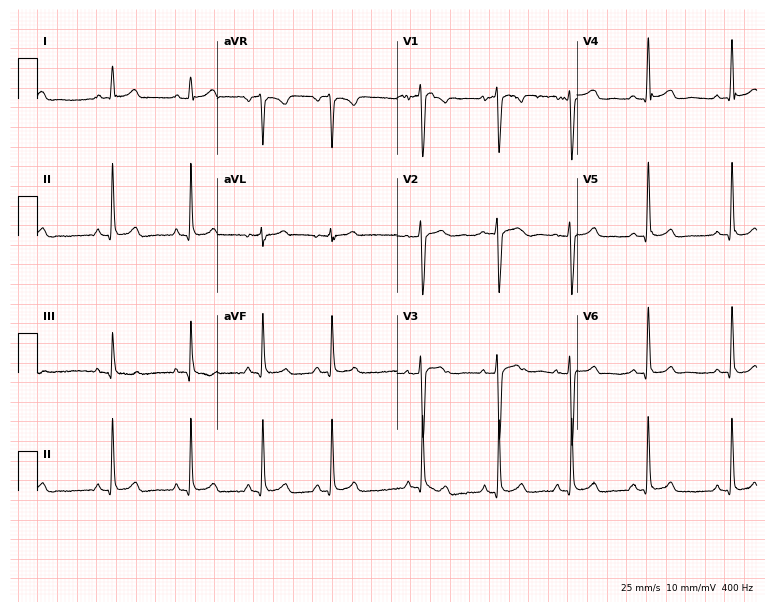
12-lead ECG from a 26-year-old woman. Labelled as a normal ECG.